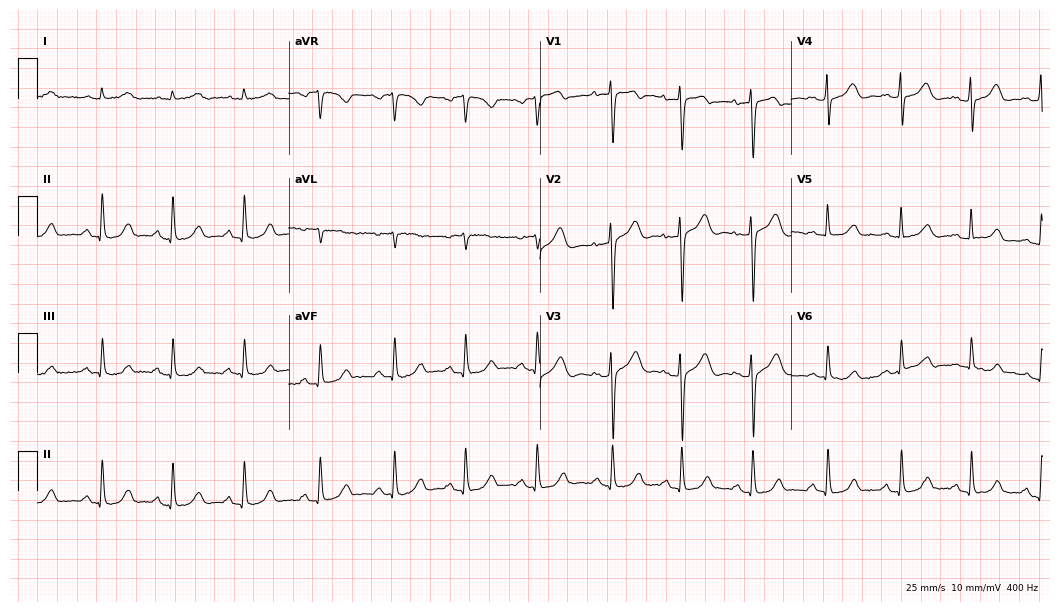
Resting 12-lead electrocardiogram. Patient: a 58-year-old female. Read as a normal ECG.